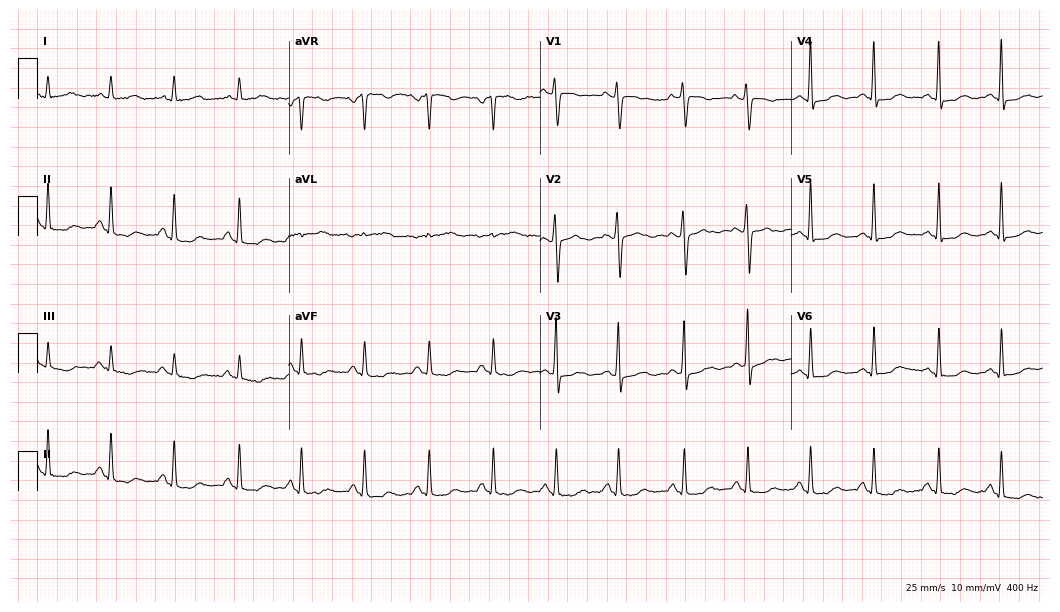
Resting 12-lead electrocardiogram. Patient: a female, 37 years old. None of these six findings is recorded: first-degree AV block, right bundle branch block, left bundle branch block, sinus bradycardia, atrial fibrillation, sinus tachycardia. Other findings, if any, are not listed.